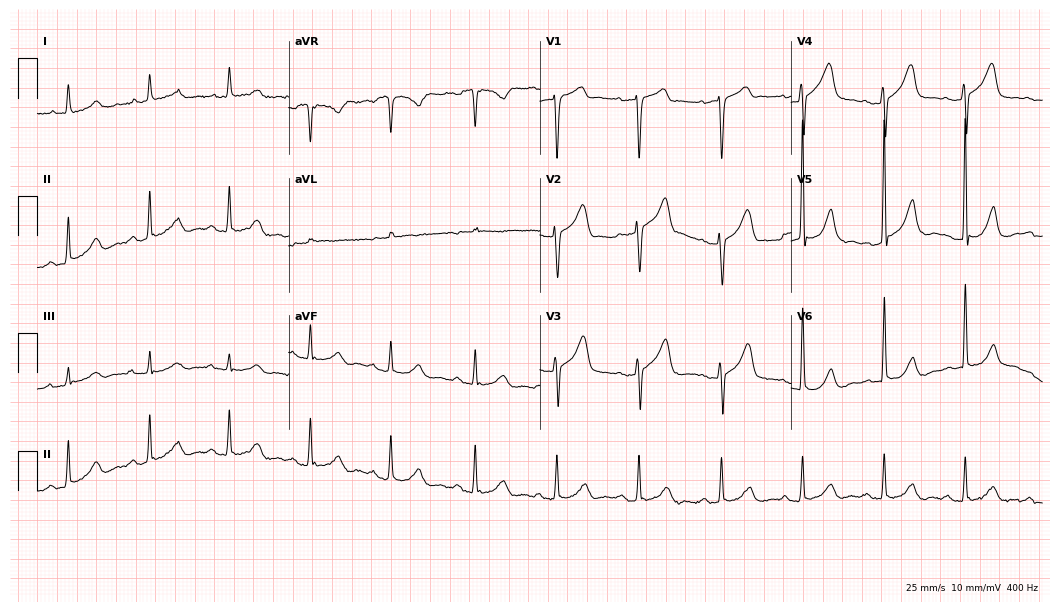
ECG (10.2-second recording at 400 Hz) — a 75-year-old male. Labelled as a normal ECG.